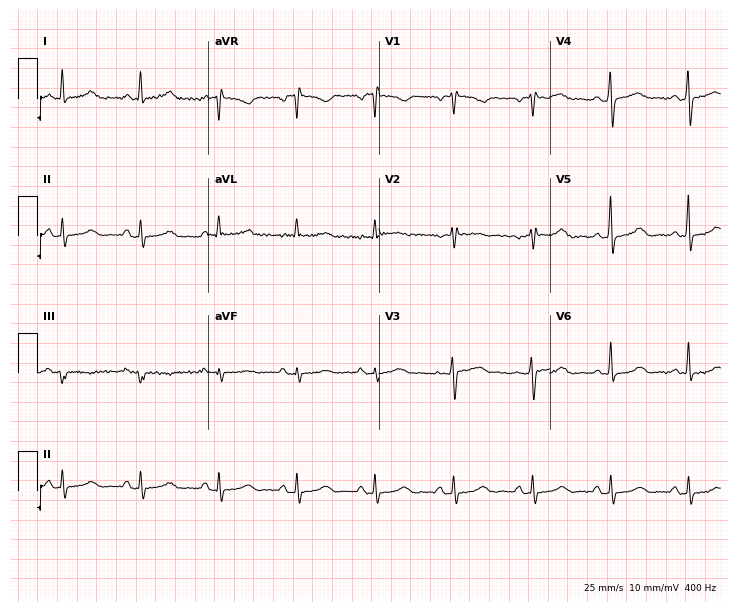
12-lead ECG from a woman, 49 years old. No first-degree AV block, right bundle branch block (RBBB), left bundle branch block (LBBB), sinus bradycardia, atrial fibrillation (AF) or sinus tachycardia recorded for this tracing. Other findings, if any, are not listed.